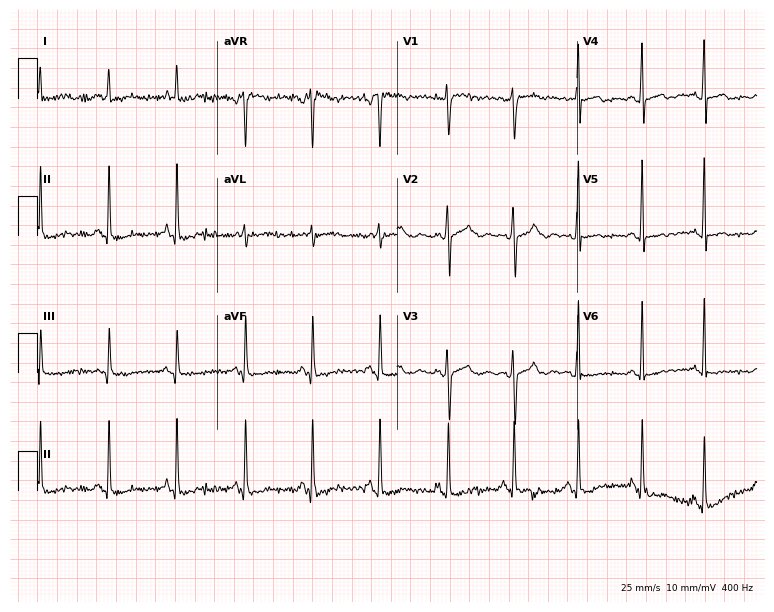
12-lead ECG from a female, 47 years old. Screened for six findings — first-degree AV block, right bundle branch block, left bundle branch block, sinus bradycardia, atrial fibrillation, sinus tachycardia — none is recorded. Findings outside these six are not listed.